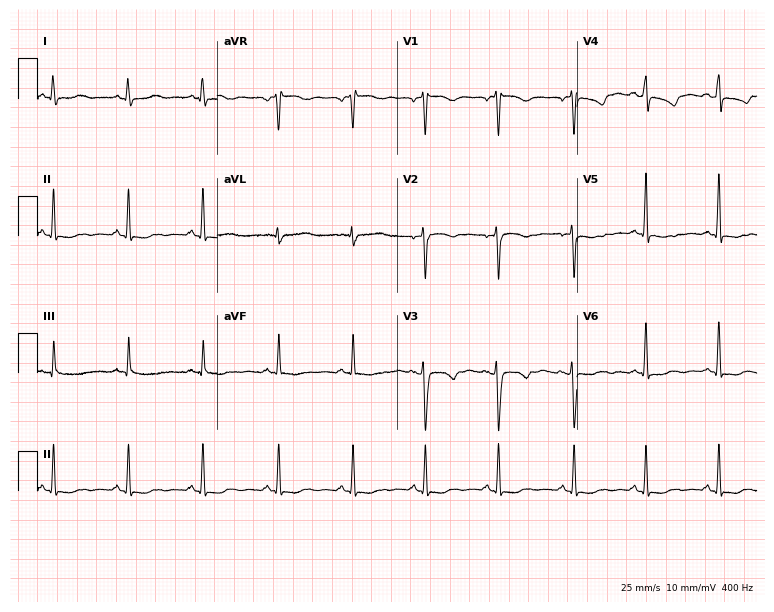
12-lead ECG (7.3-second recording at 400 Hz) from a female patient, 53 years old. Screened for six findings — first-degree AV block, right bundle branch block (RBBB), left bundle branch block (LBBB), sinus bradycardia, atrial fibrillation (AF), sinus tachycardia — none is recorded.